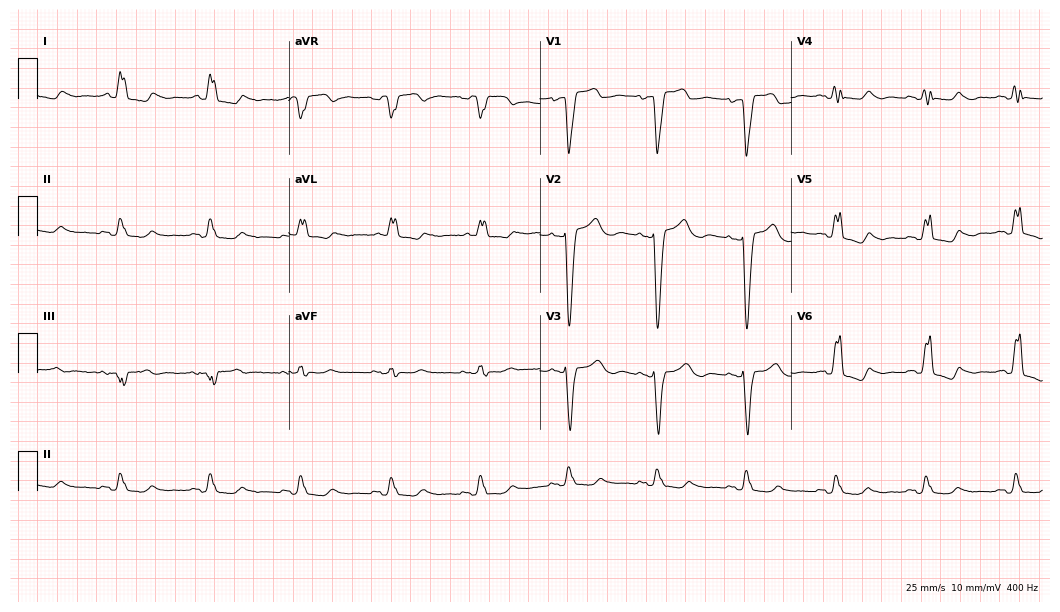
Electrocardiogram, a female, 64 years old. Interpretation includes left bundle branch block (LBBB).